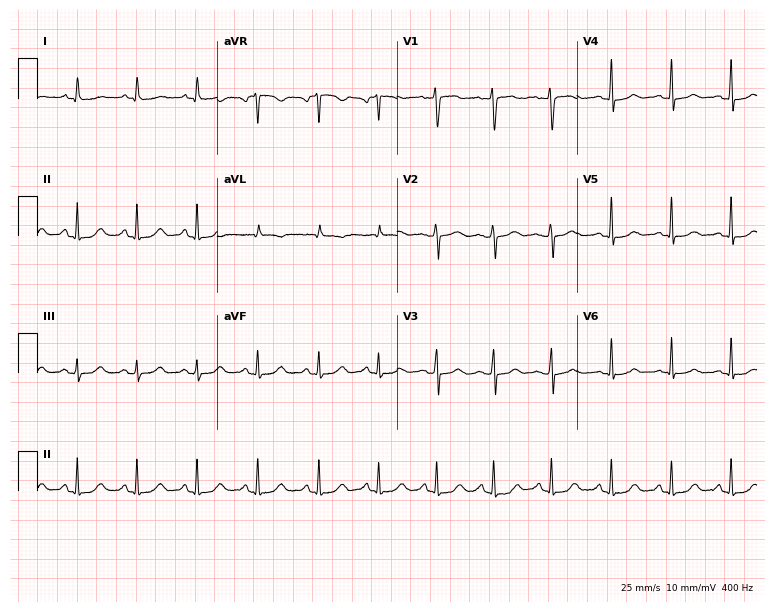
Electrocardiogram (7.3-second recording at 400 Hz), a woman, 32 years old. Of the six screened findings (first-degree AV block, right bundle branch block, left bundle branch block, sinus bradycardia, atrial fibrillation, sinus tachycardia), none is recorded.